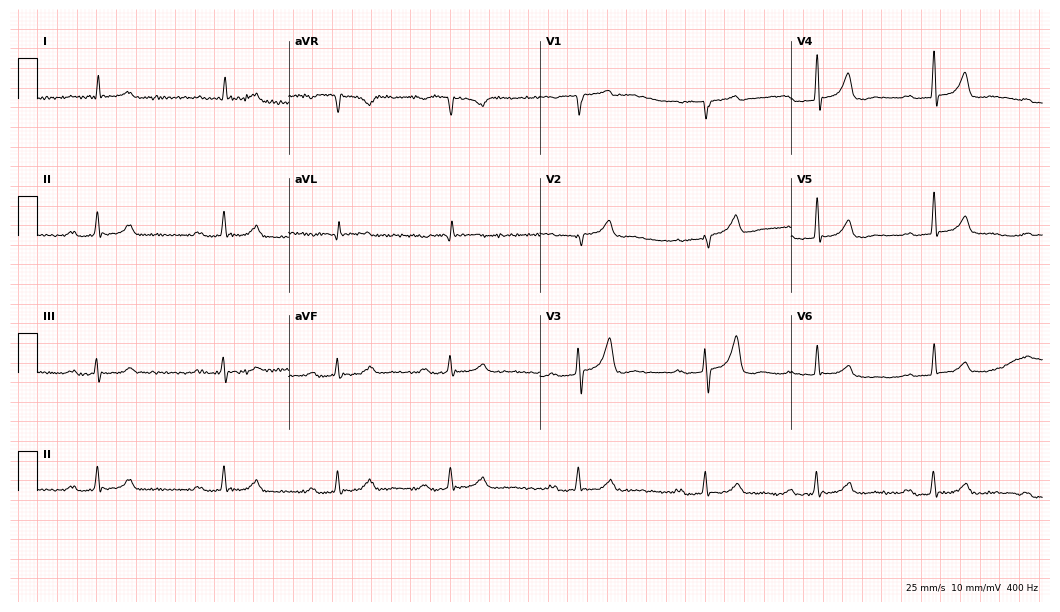
Standard 12-lead ECG recorded from a 74-year-old male patient (10.2-second recording at 400 Hz). The tracing shows sinus bradycardia (a sinus rate of 50 beats per minute or less), atrial fibrillation (AF).